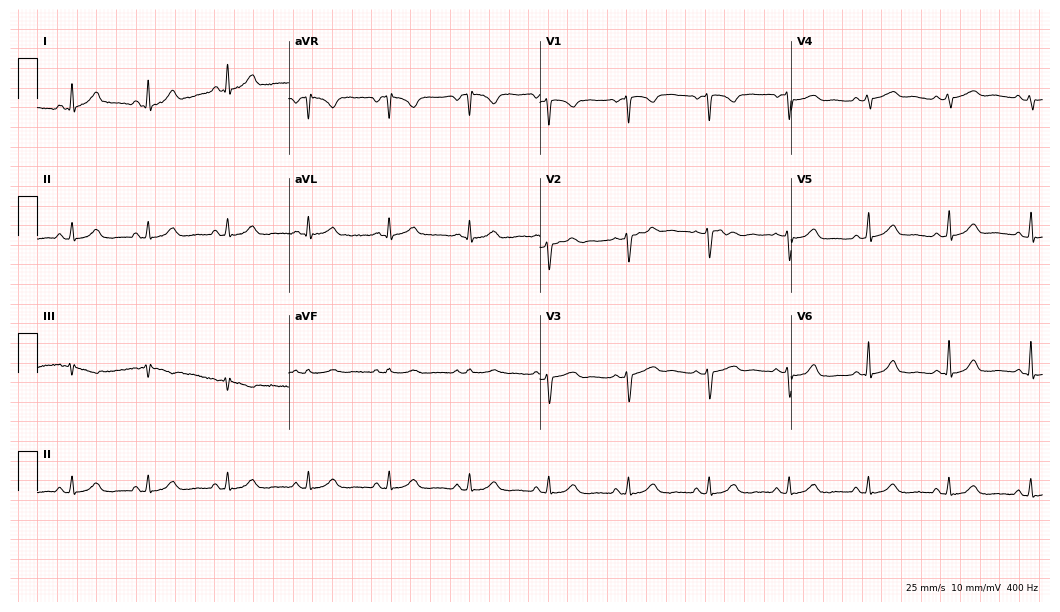
Resting 12-lead electrocardiogram (10.2-second recording at 400 Hz). Patient: a woman, 34 years old. Read as a normal ECG.